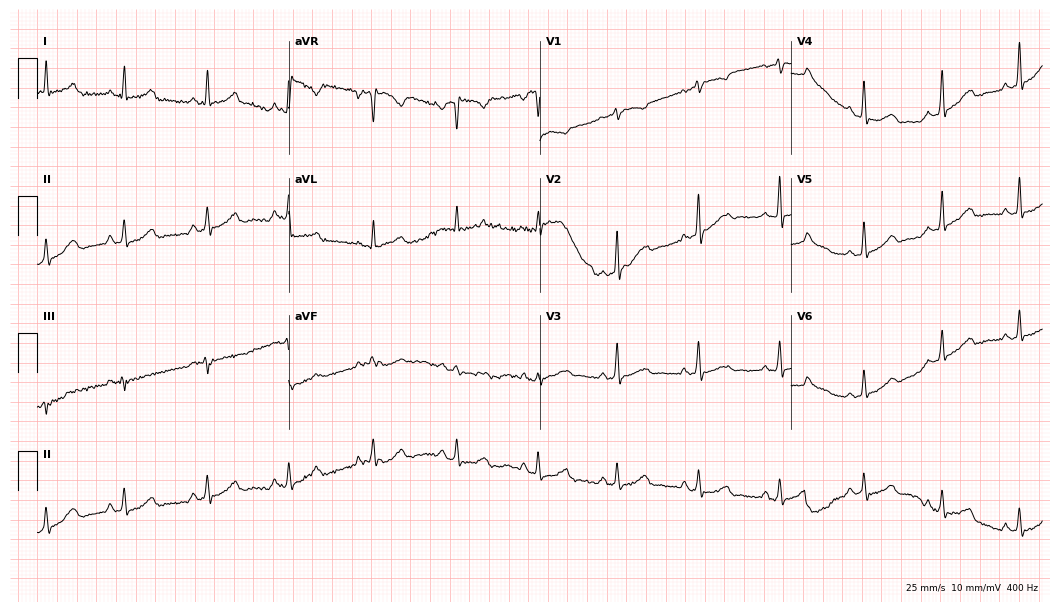
Electrocardiogram, a female, 57 years old. Overall reading on record: normal ECG.